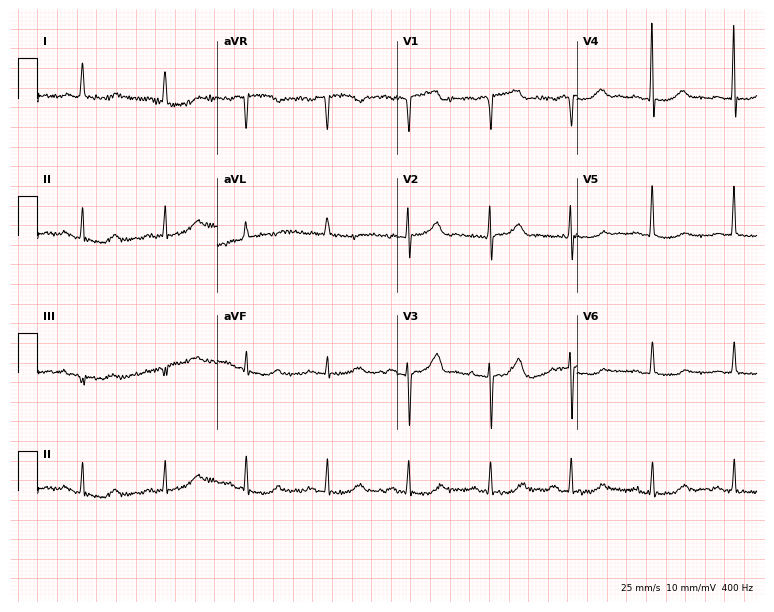
12-lead ECG from a female patient, 80 years old (7.3-second recording at 400 Hz). No first-degree AV block, right bundle branch block, left bundle branch block, sinus bradycardia, atrial fibrillation or sinus tachycardia recorded for this tracing.